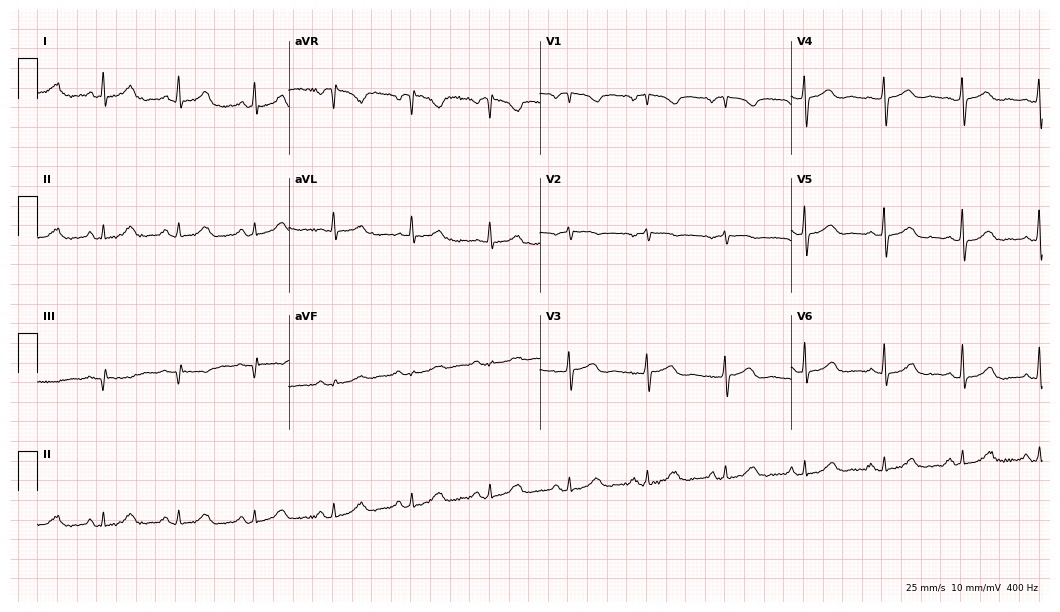
Resting 12-lead electrocardiogram. Patient: a 60-year-old female. Read as a normal ECG.